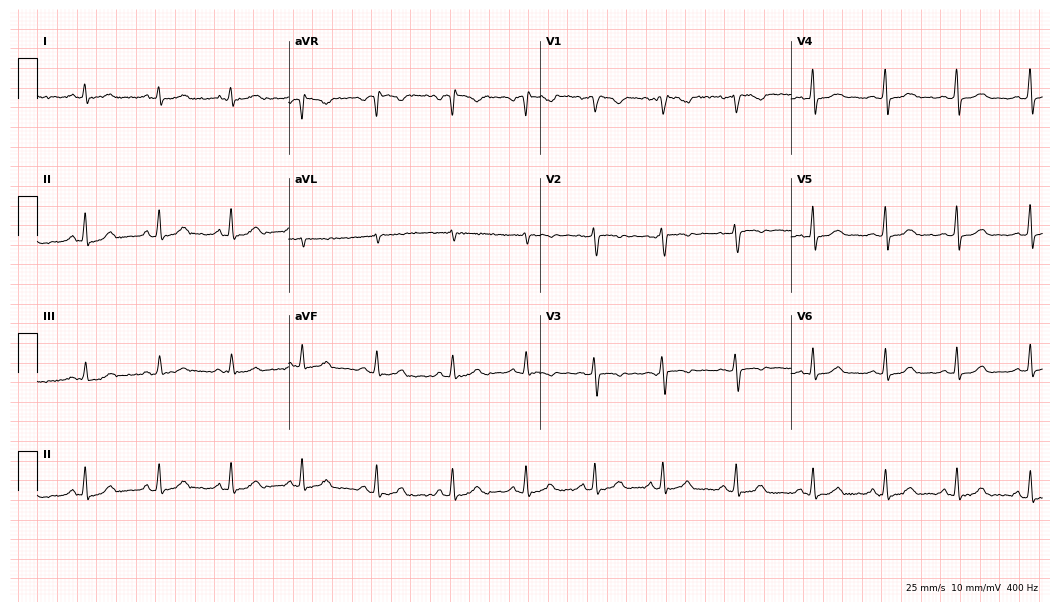
ECG — a female patient, 32 years old. Labelled as a normal ECG.